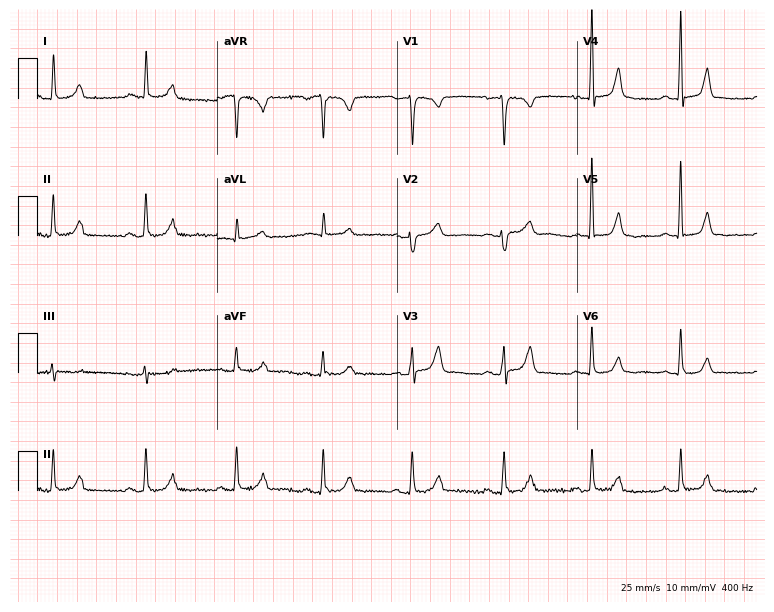
12-lead ECG from a 59-year-old female patient (7.3-second recording at 400 Hz). Recorded interpretation: within normal limits.